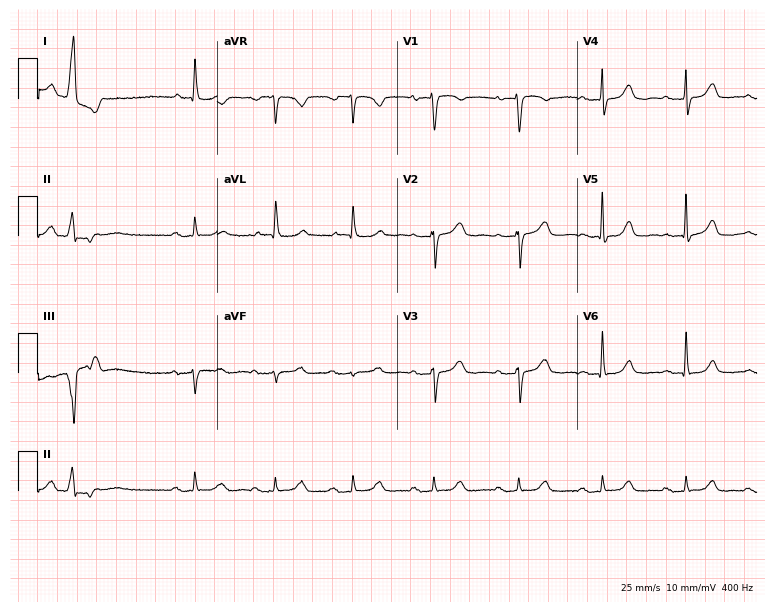
Resting 12-lead electrocardiogram. Patient: a 75-year-old woman. The tracing shows first-degree AV block.